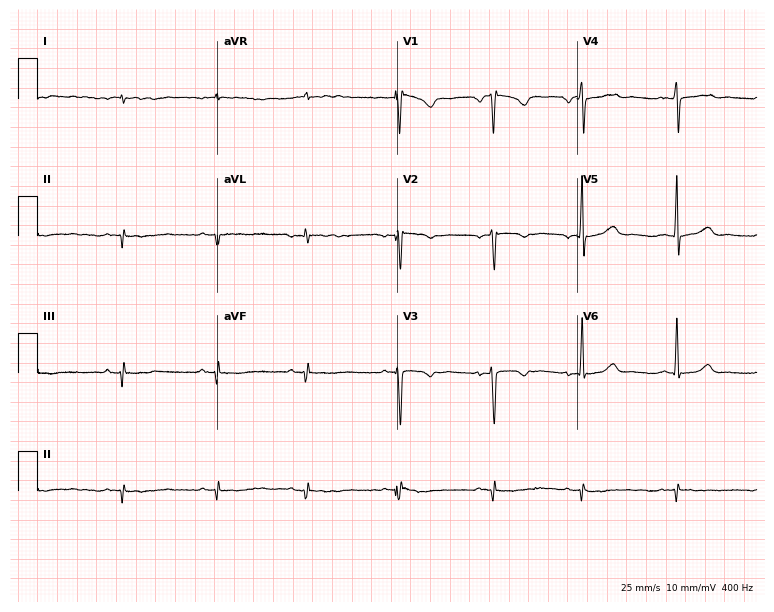
Resting 12-lead electrocardiogram. Patient: a 50-year-old female. None of these six findings is recorded: first-degree AV block, right bundle branch block, left bundle branch block, sinus bradycardia, atrial fibrillation, sinus tachycardia.